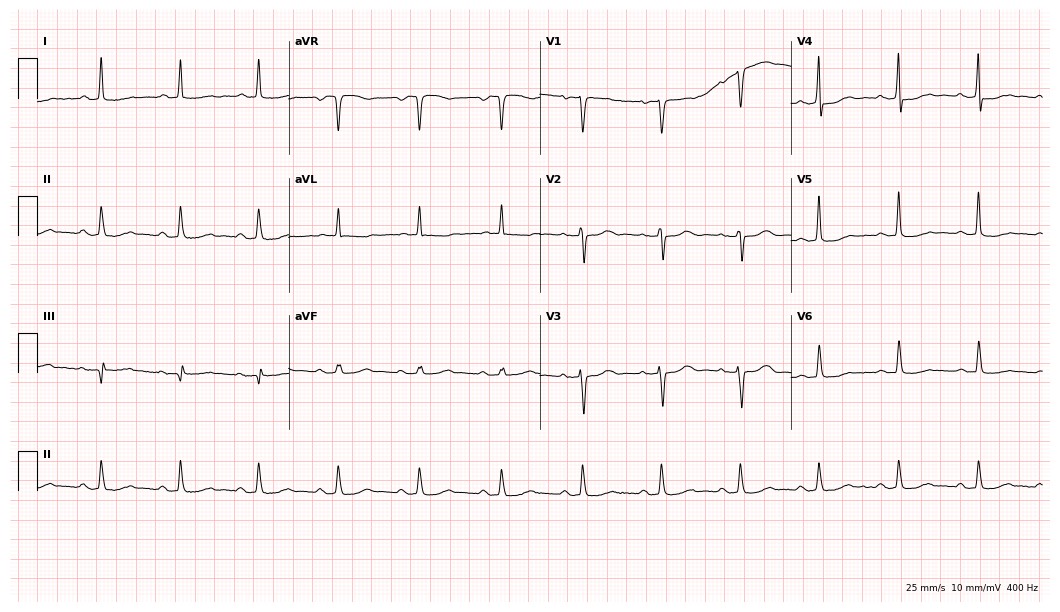
ECG (10.2-second recording at 400 Hz) — a 65-year-old female patient. Screened for six findings — first-degree AV block, right bundle branch block, left bundle branch block, sinus bradycardia, atrial fibrillation, sinus tachycardia — none is recorded.